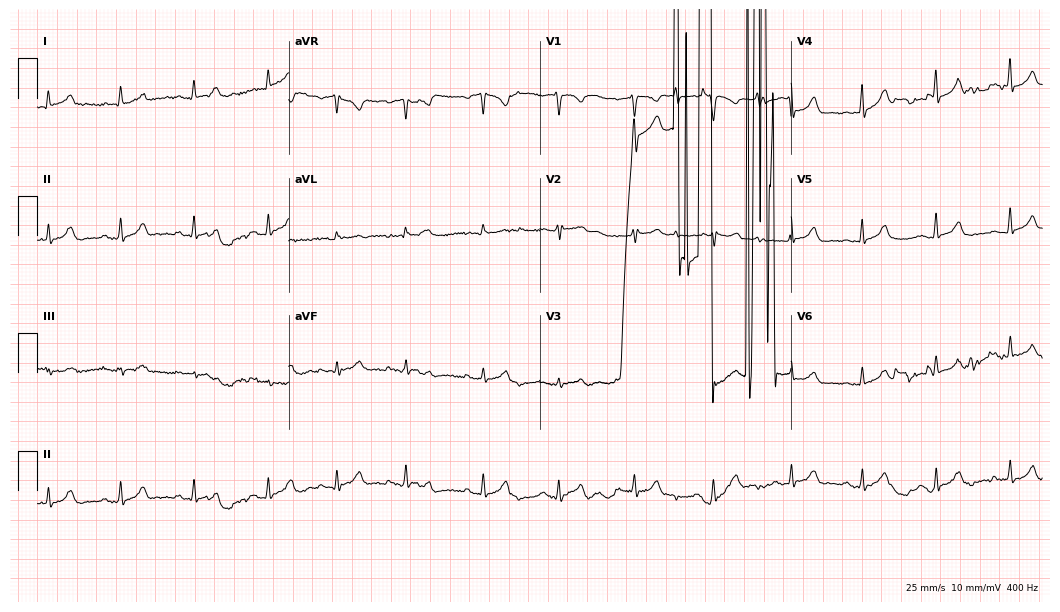
ECG — a woman, 22 years old. Screened for six findings — first-degree AV block, right bundle branch block, left bundle branch block, sinus bradycardia, atrial fibrillation, sinus tachycardia — none is recorded.